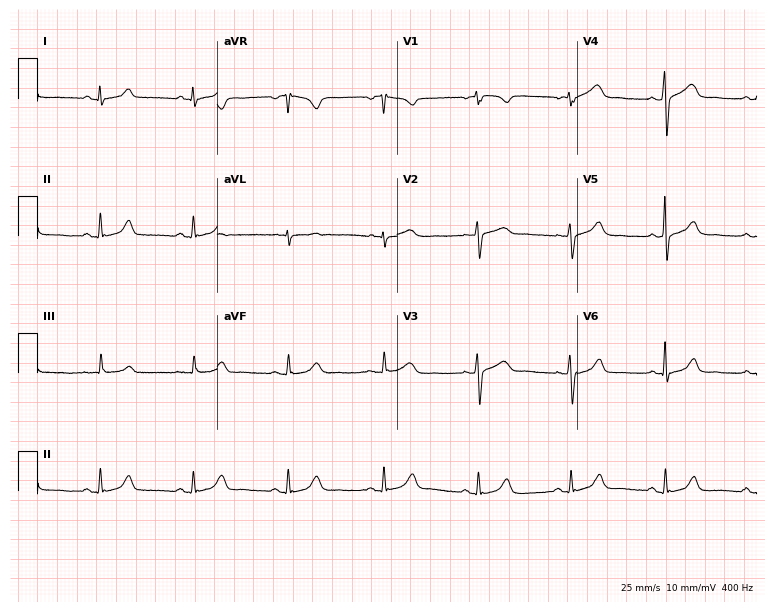
Standard 12-lead ECG recorded from a female, 56 years old. Read as a normal ECG.